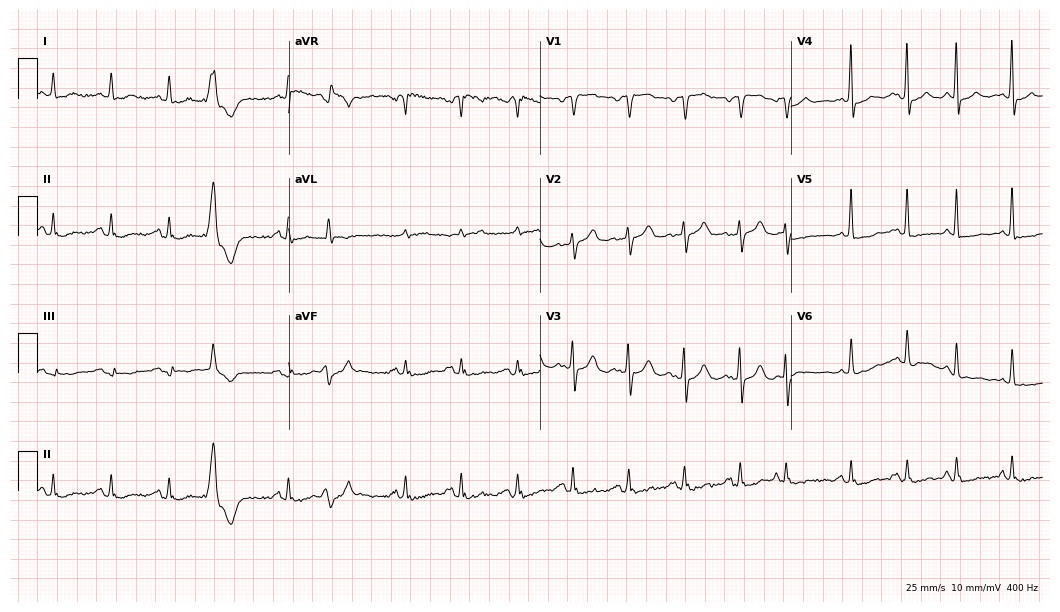
Standard 12-lead ECG recorded from a woman, 77 years old. The tracing shows sinus tachycardia (a sinus rate of 100 beats per minute or more).